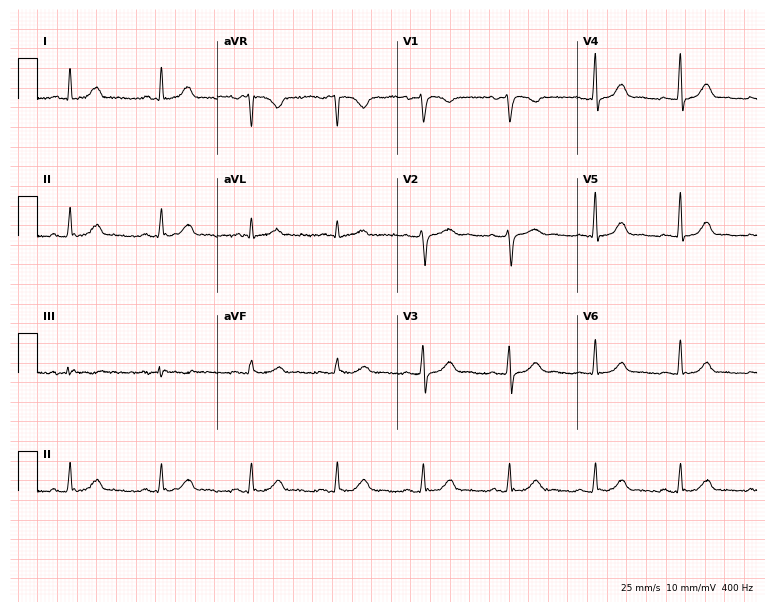
ECG — a female patient, 60 years old. Labelled as a normal ECG.